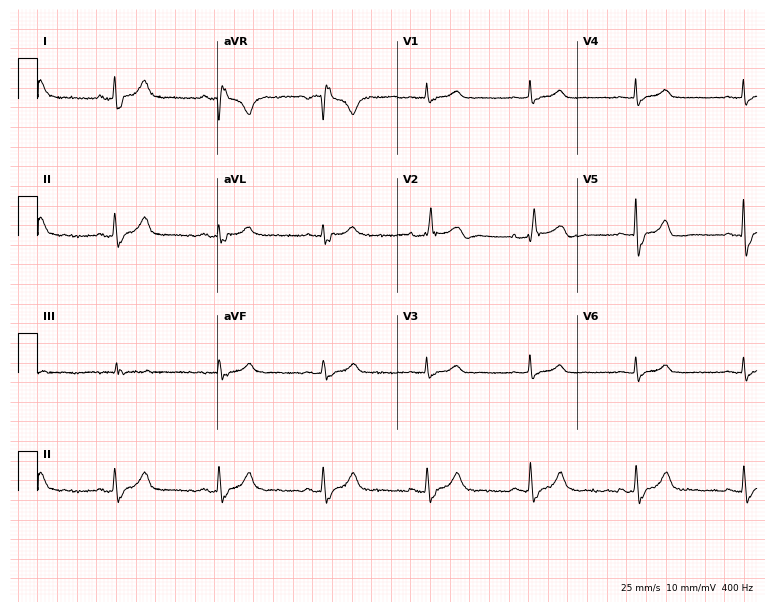
Standard 12-lead ECG recorded from an 82-year-old woman. None of these six findings is recorded: first-degree AV block, right bundle branch block (RBBB), left bundle branch block (LBBB), sinus bradycardia, atrial fibrillation (AF), sinus tachycardia.